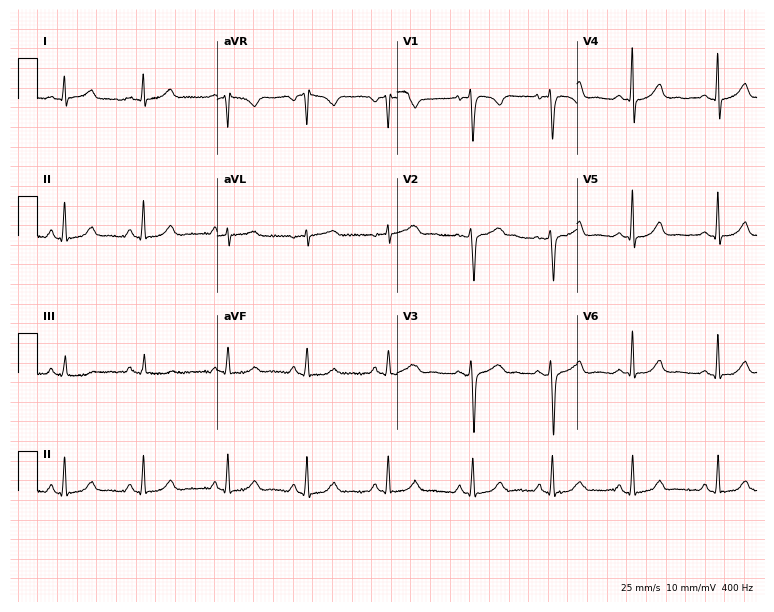
12-lead ECG from a 20-year-old female patient (7.3-second recording at 400 Hz). Recorded interpretation: within normal limits.